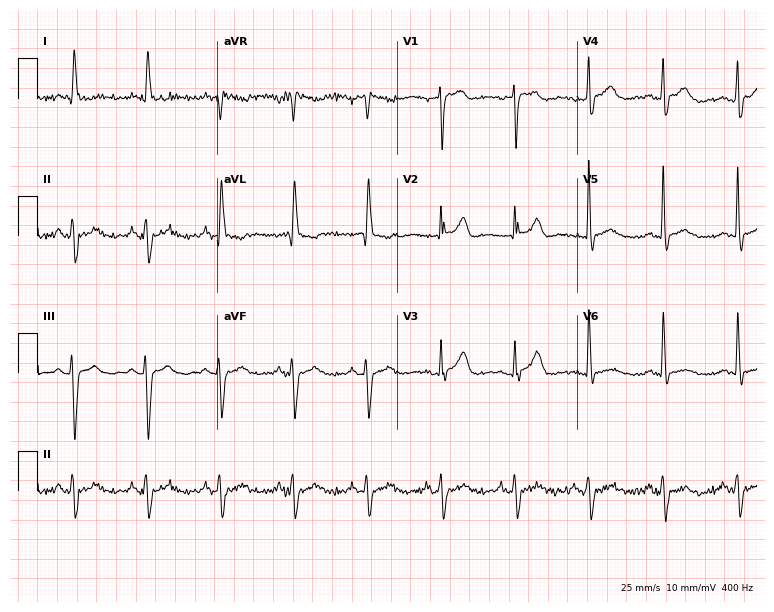
Standard 12-lead ECG recorded from a female, 67 years old (7.3-second recording at 400 Hz). None of these six findings is recorded: first-degree AV block, right bundle branch block, left bundle branch block, sinus bradycardia, atrial fibrillation, sinus tachycardia.